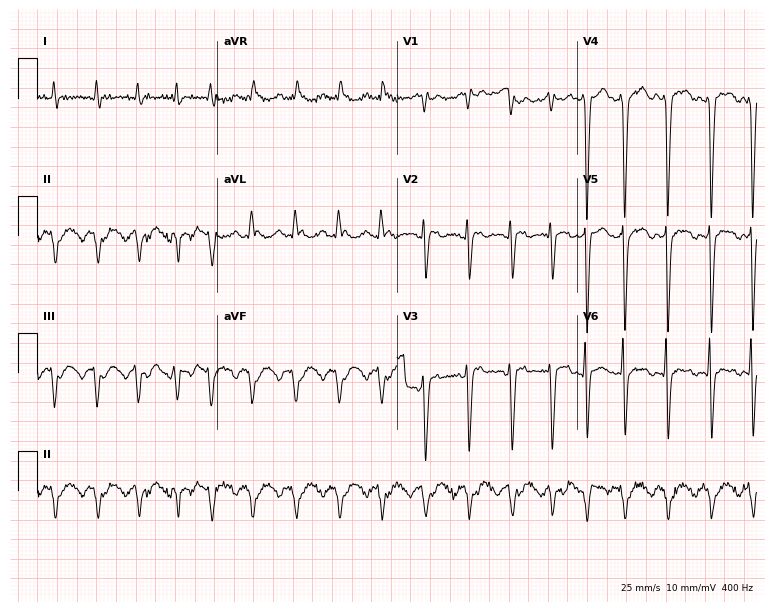
12-lead ECG from a 38-year-old male. Findings include atrial fibrillation.